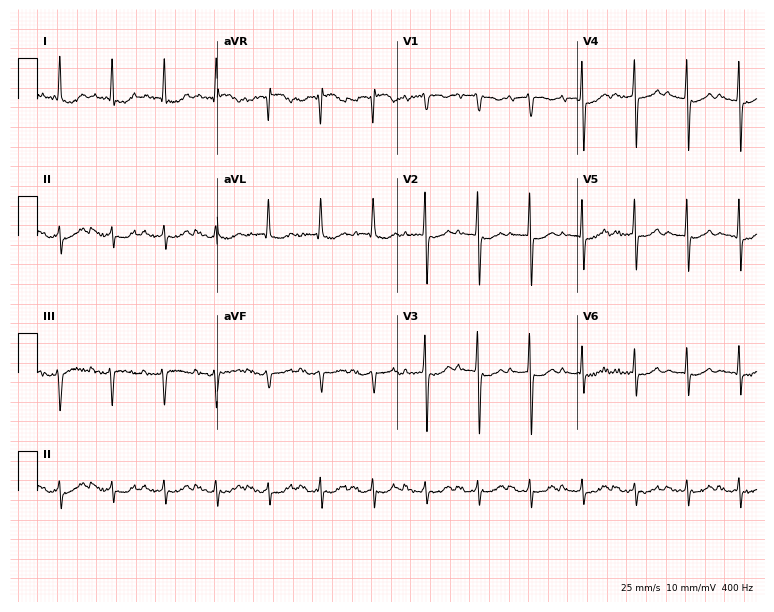
Standard 12-lead ECG recorded from a female, 71 years old. The tracing shows first-degree AV block, sinus tachycardia (a sinus rate of 100 beats per minute or more).